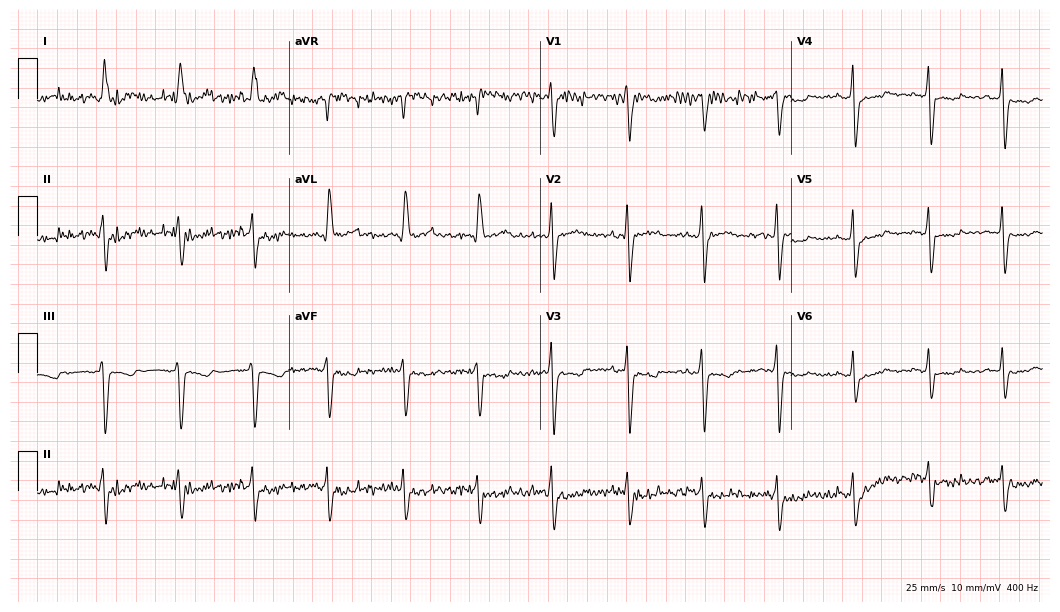
Standard 12-lead ECG recorded from a 51-year-old female (10.2-second recording at 400 Hz). None of these six findings is recorded: first-degree AV block, right bundle branch block, left bundle branch block, sinus bradycardia, atrial fibrillation, sinus tachycardia. Findings outside these six are not listed.